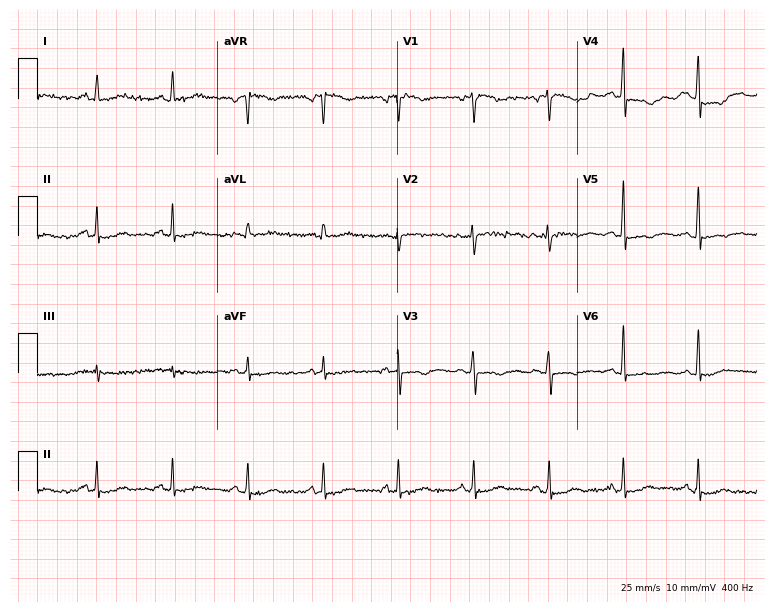
Standard 12-lead ECG recorded from a female, 59 years old (7.3-second recording at 400 Hz). None of these six findings is recorded: first-degree AV block, right bundle branch block, left bundle branch block, sinus bradycardia, atrial fibrillation, sinus tachycardia. Other findings, if any, are not listed.